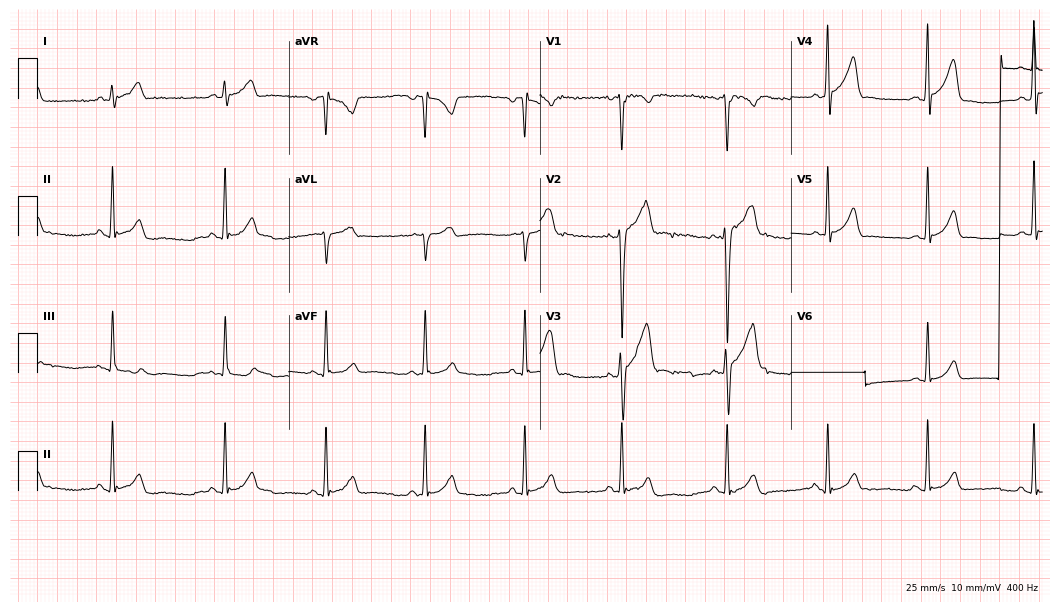
Standard 12-lead ECG recorded from a man, 26 years old (10.2-second recording at 400 Hz). None of these six findings is recorded: first-degree AV block, right bundle branch block, left bundle branch block, sinus bradycardia, atrial fibrillation, sinus tachycardia.